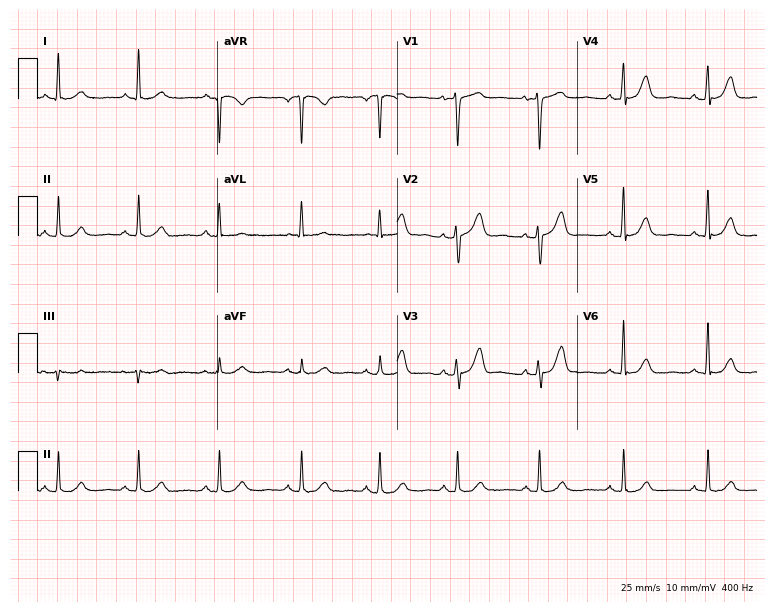
Resting 12-lead electrocardiogram (7.3-second recording at 400 Hz). Patient: a female, 63 years old. Read as a normal ECG.